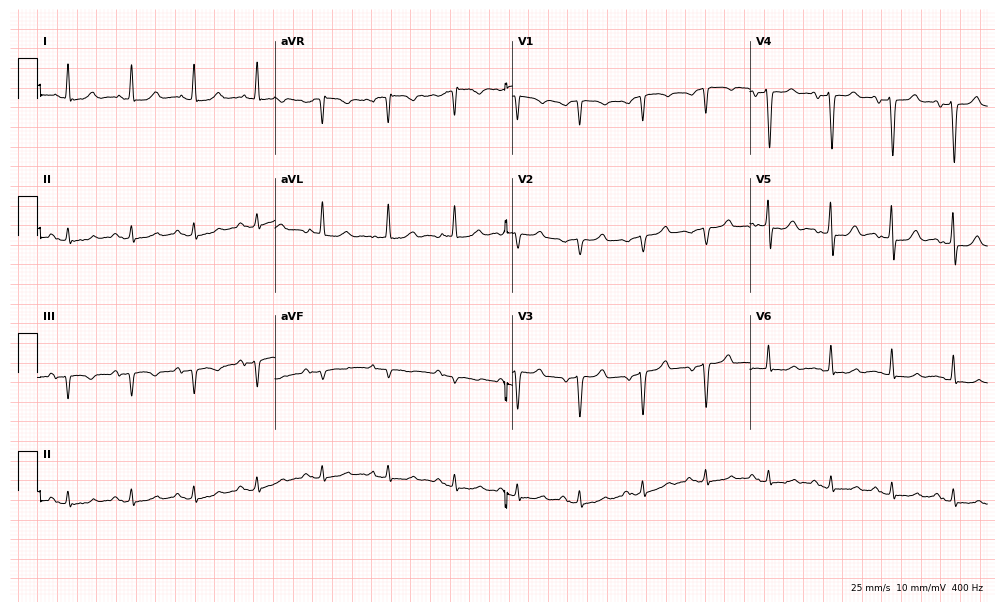
Electrocardiogram (9.7-second recording at 400 Hz), a 59-year-old man. Overall reading on record: normal ECG.